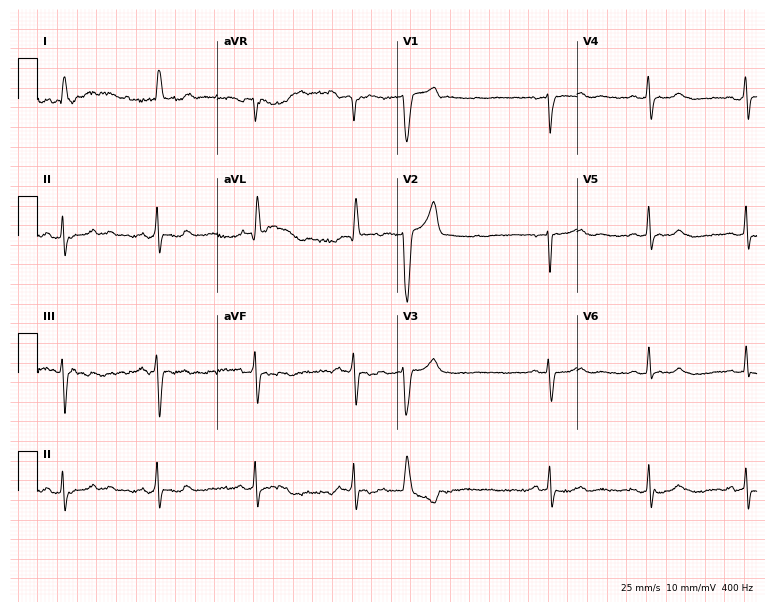
Standard 12-lead ECG recorded from a male, 68 years old. None of these six findings is recorded: first-degree AV block, right bundle branch block, left bundle branch block, sinus bradycardia, atrial fibrillation, sinus tachycardia. Other findings, if any, are not listed.